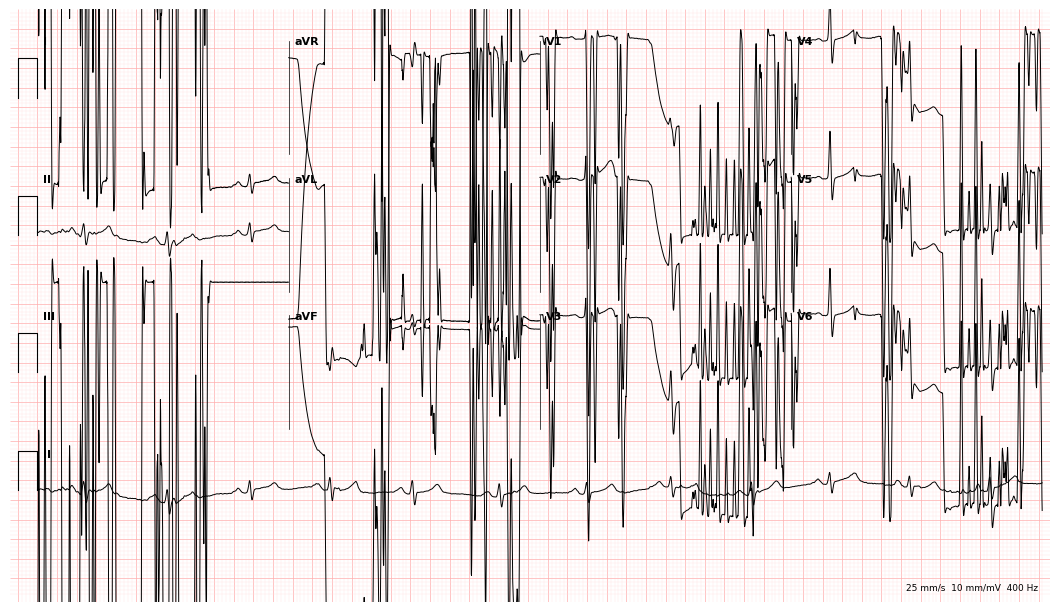
Electrocardiogram (10.2-second recording at 400 Hz), a 79-year-old man. Of the six screened findings (first-degree AV block, right bundle branch block, left bundle branch block, sinus bradycardia, atrial fibrillation, sinus tachycardia), none is recorded. Other findings, if any, are not listed.